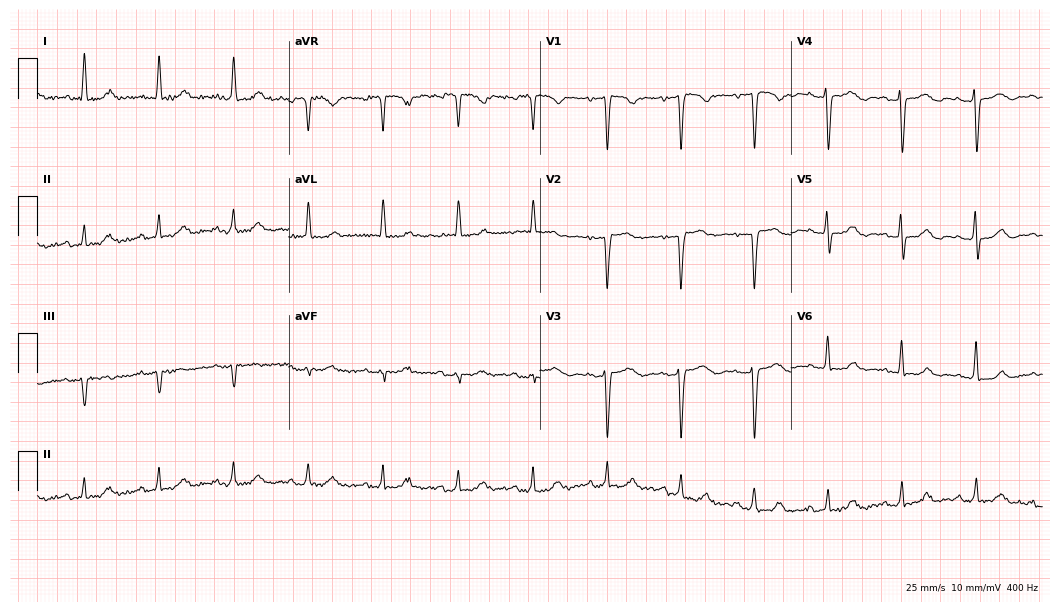
12-lead ECG (10.2-second recording at 400 Hz) from a 74-year-old female patient. Screened for six findings — first-degree AV block, right bundle branch block, left bundle branch block, sinus bradycardia, atrial fibrillation, sinus tachycardia — none is recorded.